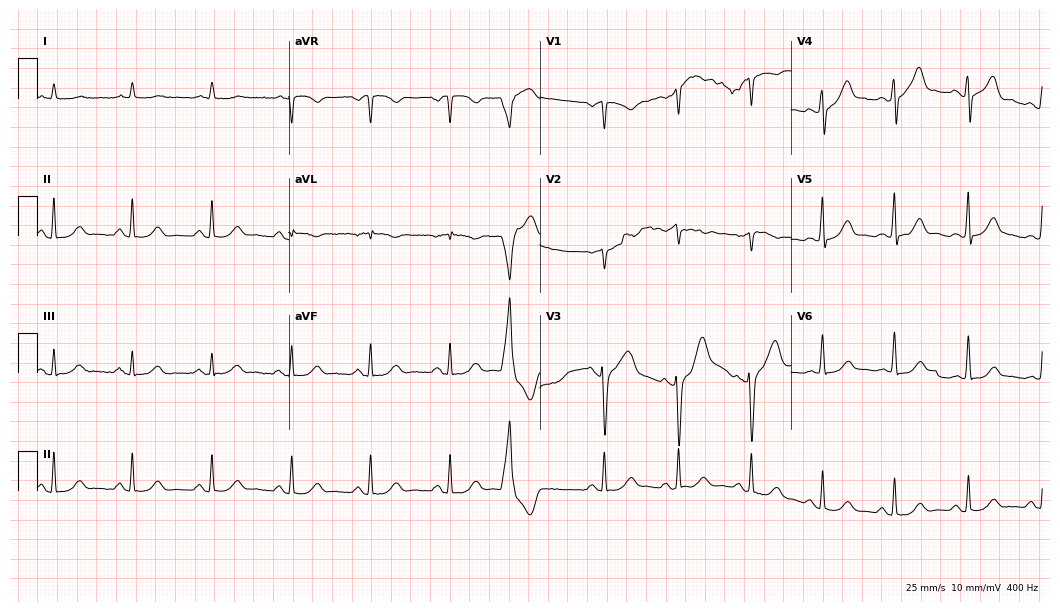
Resting 12-lead electrocardiogram. Patient: a male, 78 years old. None of these six findings is recorded: first-degree AV block, right bundle branch block, left bundle branch block, sinus bradycardia, atrial fibrillation, sinus tachycardia. Only these six findings were labelled.